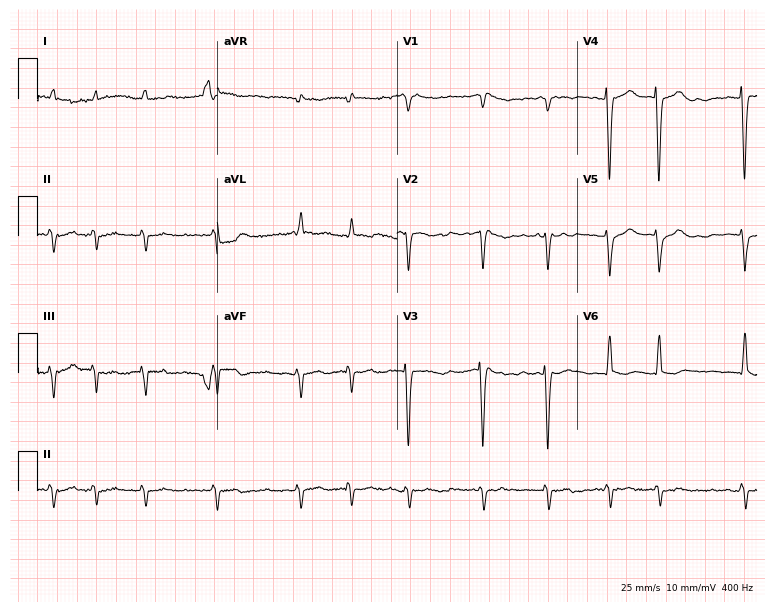
12-lead ECG (7.3-second recording at 400 Hz) from a 74-year-old female. Findings include atrial fibrillation.